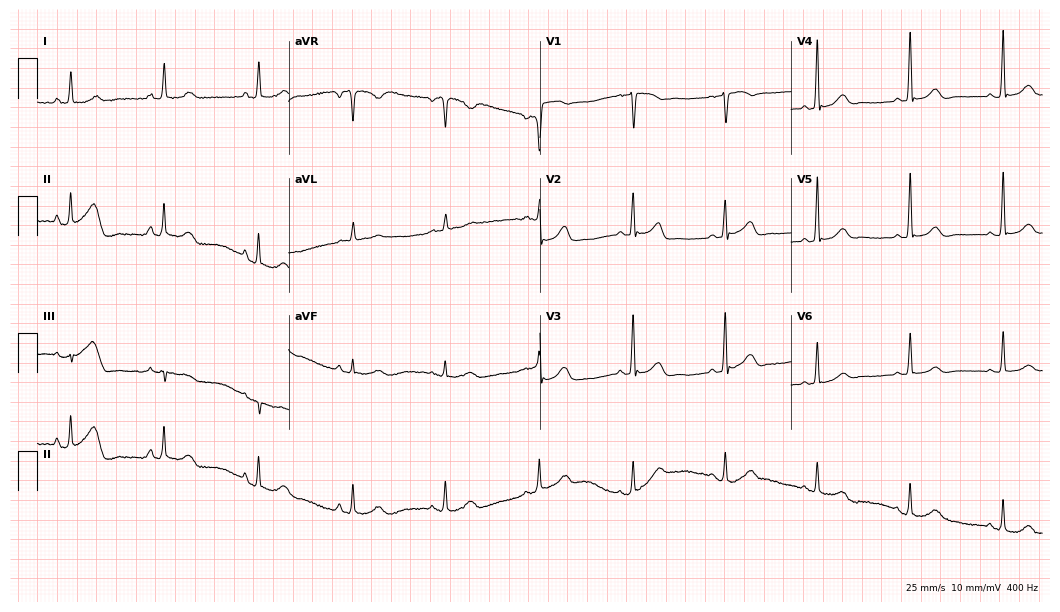
12-lead ECG from a 64-year-old female. Labelled as a normal ECG.